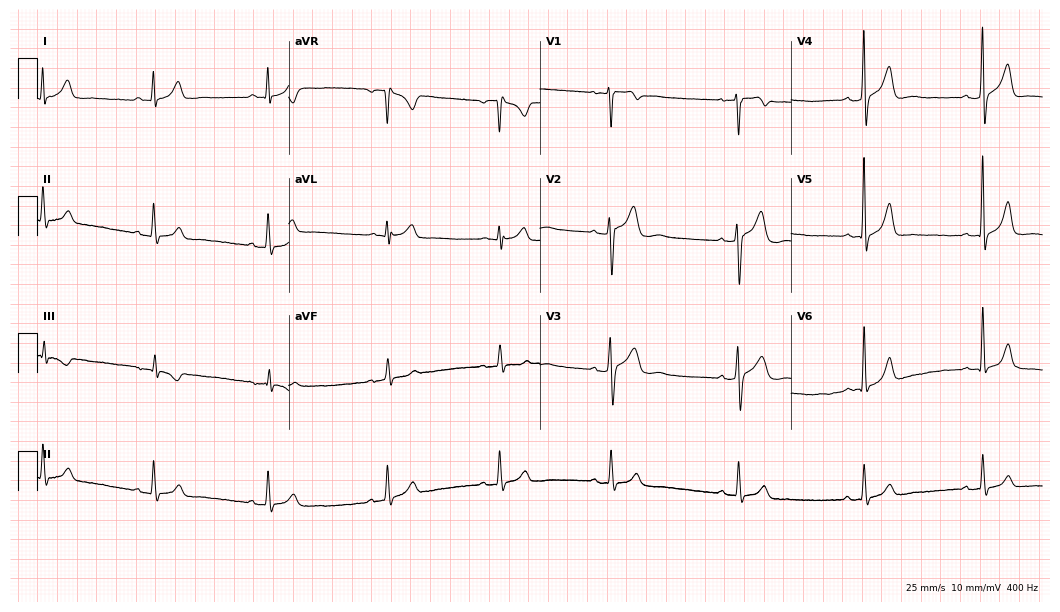
Resting 12-lead electrocardiogram (10.2-second recording at 400 Hz). Patient: a 38-year-old male. Read as a normal ECG.